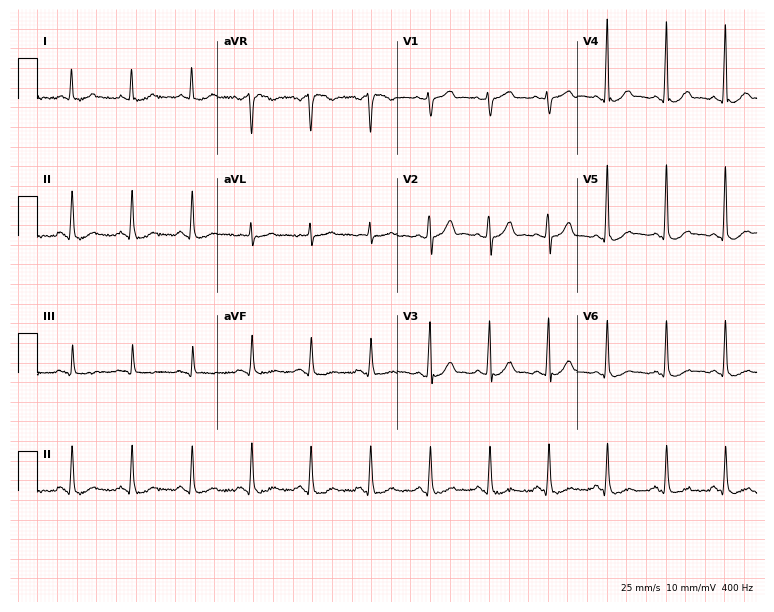
12-lead ECG (7.3-second recording at 400 Hz) from a man, 62 years old. Screened for six findings — first-degree AV block, right bundle branch block (RBBB), left bundle branch block (LBBB), sinus bradycardia, atrial fibrillation (AF), sinus tachycardia — none is recorded. Only these six findings were labelled.